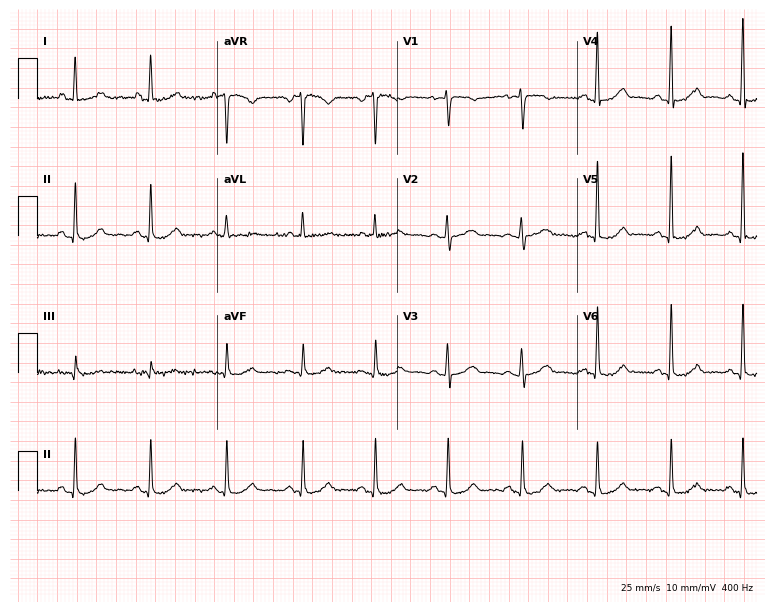
Electrocardiogram (7.3-second recording at 400 Hz), a 52-year-old female patient. Of the six screened findings (first-degree AV block, right bundle branch block, left bundle branch block, sinus bradycardia, atrial fibrillation, sinus tachycardia), none is recorded. Findings outside these six are not listed.